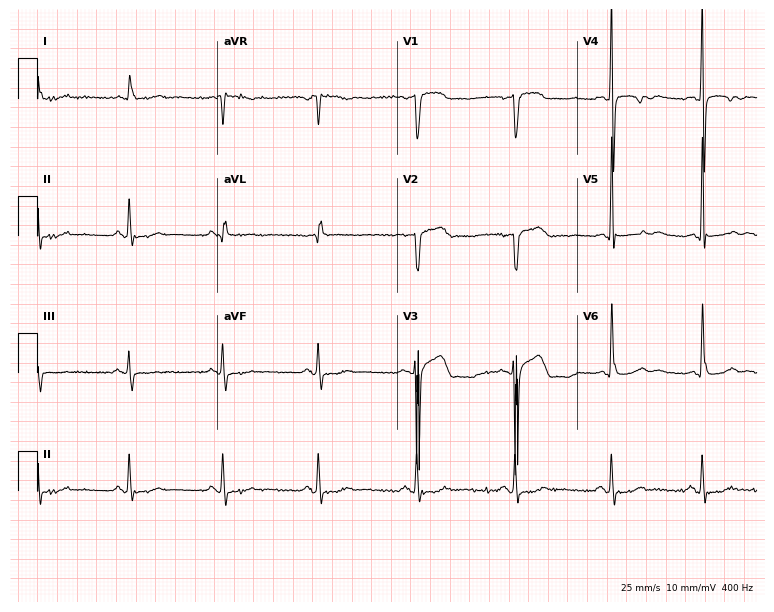
Resting 12-lead electrocardiogram. Patient: a male, 55 years old. None of these six findings is recorded: first-degree AV block, right bundle branch block, left bundle branch block, sinus bradycardia, atrial fibrillation, sinus tachycardia.